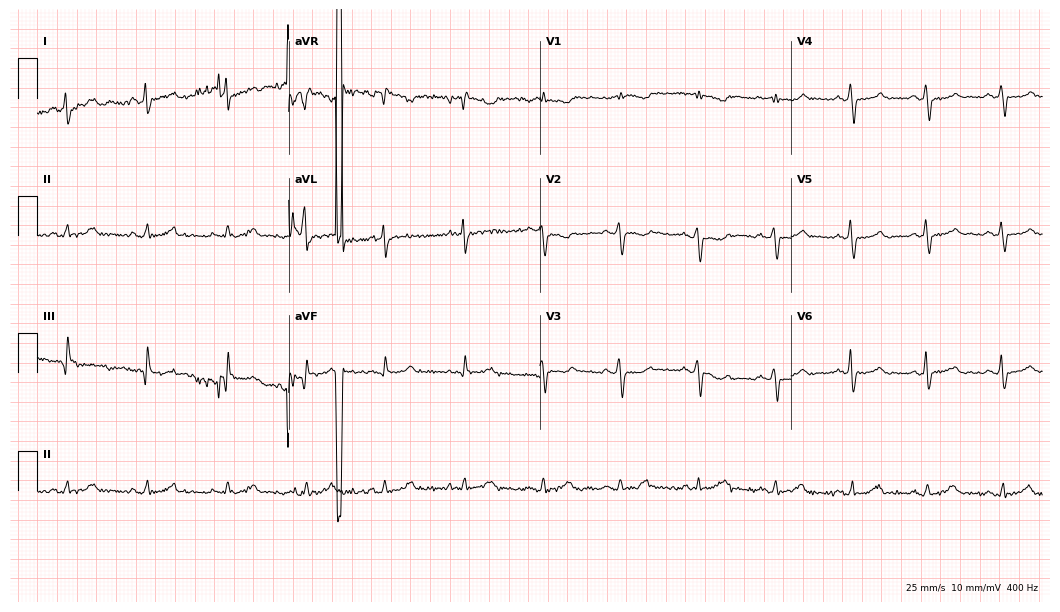
12-lead ECG from a male, 47 years old (10.2-second recording at 400 Hz). No first-degree AV block, right bundle branch block (RBBB), left bundle branch block (LBBB), sinus bradycardia, atrial fibrillation (AF) or sinus tachycardia recorded for this tracing.